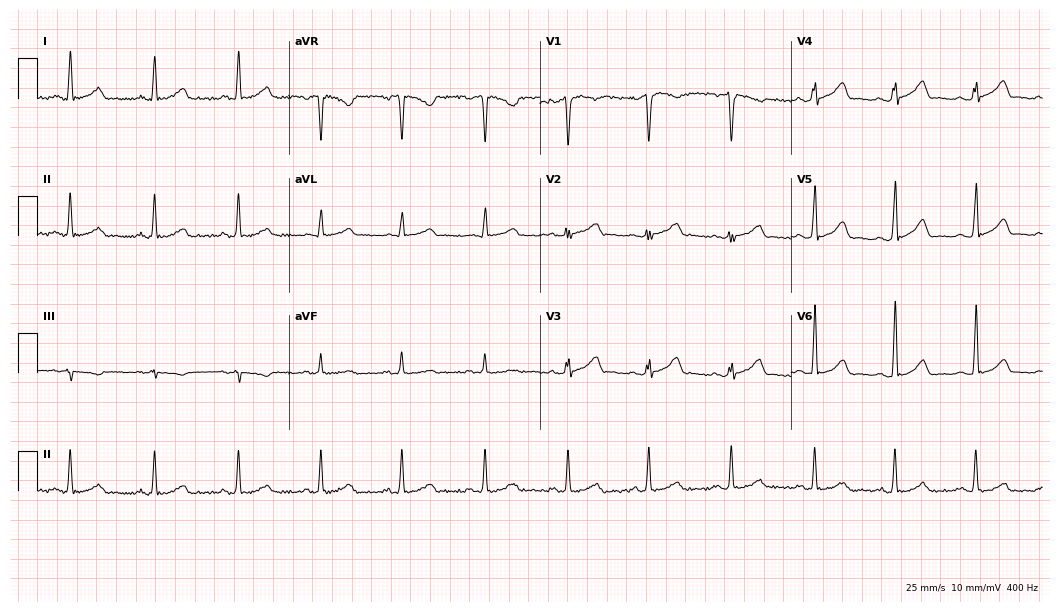
Standard 12-lead ECG recorded from a 46-year-old woman (10.2-second recording at 400 Hz). Read as a normal ECG.